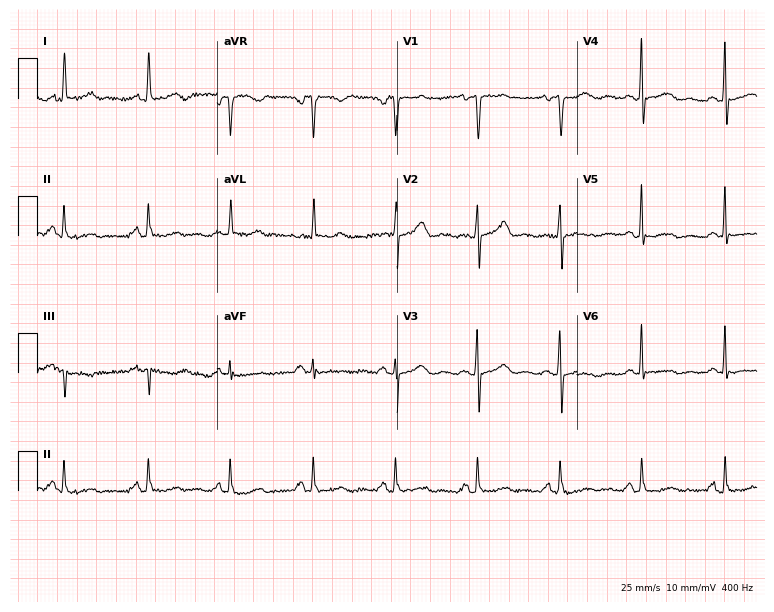
Resting 12-lead electrocardiogram. Patient: a female, 63 years old. None of these six findings is recorded: first-degree AV block, right bundle branch block, left bundle branch block, sinus bradycardia, atrial fibrillation, sinus tachycardia. Only these six findings were labelled.